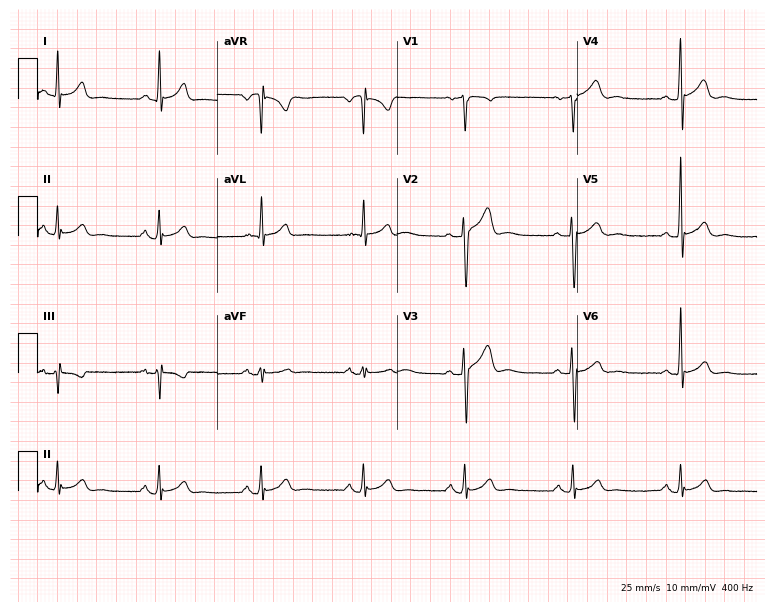
ECG — a 37-year-old male patient. Labelled as a normal ECG.